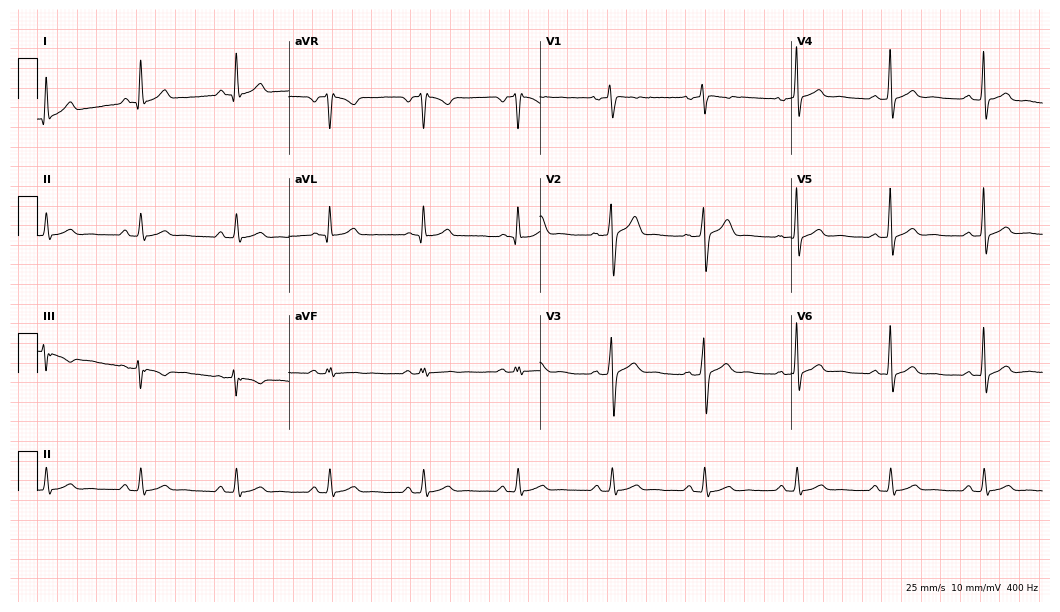
Electrocardiogram, a male, 45 years old. Overall reading on record: normal ECG.